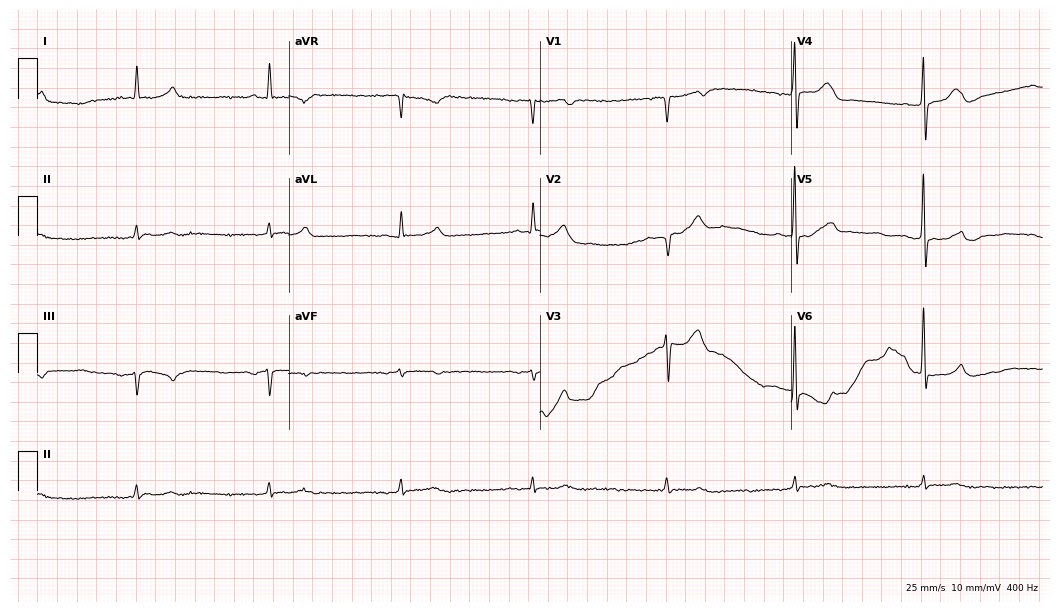
12-lead ECG from a male, 83 years old. Shows sinus bradycardia (a sinus rate of 50 beats per minute or less).